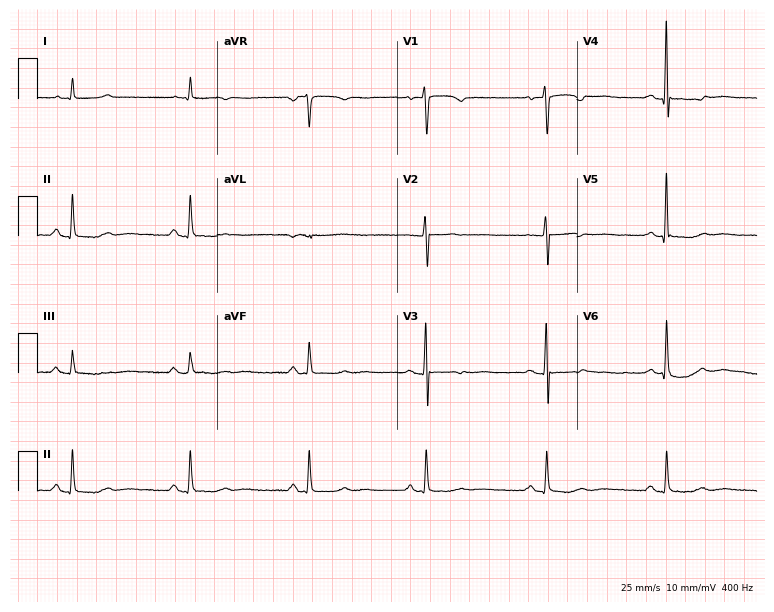
Standard 12-lead ECG recorded from a 69-year-old female patient (7.3-second recording at 400 Hz). None of these six findings is recorded: first-degree AV block, right bundle branch block (RBBB), left bundle branch block (LBBB), sinus bradycardia, atrial fibrillation (AF), sinus tachycardia.